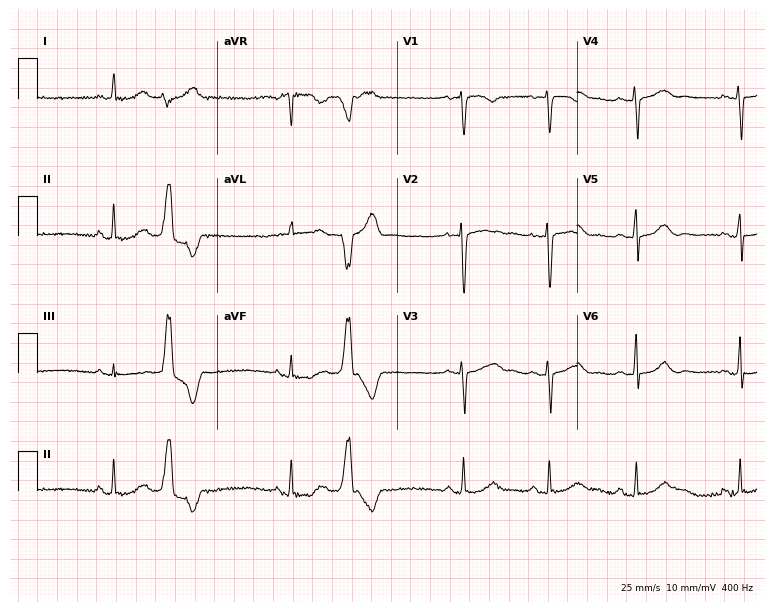
Resting 12-lead electrocardiogram. Patient: a 45-year-old female. None of these six findings is recorded: first-degree AV block, right bundle branch block, left bundle branch block, sinus bradycardia, atrial fibrillation, sinus tachycardia. Other findings, if any, are not listed.